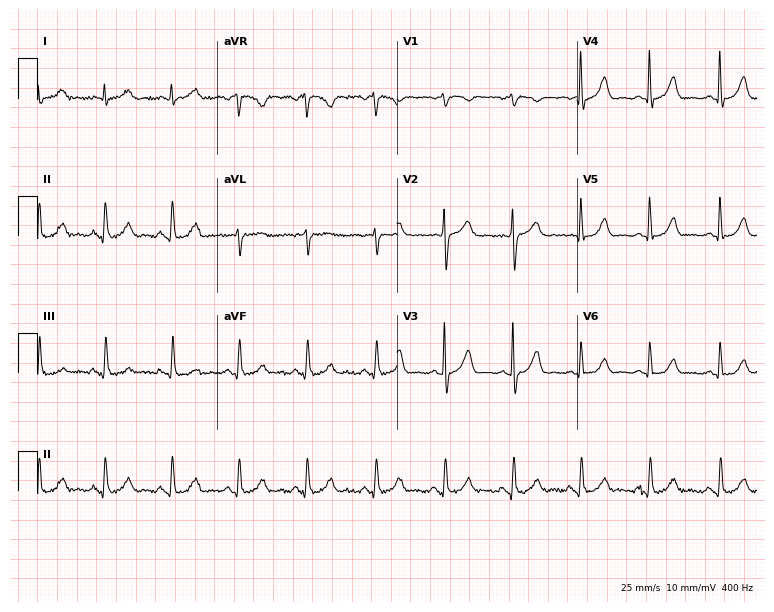
12-lead ECG (7.3-second recording at 400 Hz) from a male, 62 years old. Screened for six findings — first-degree AV block, right bundle branch block, left bundle branch block, sinus bradycardia, atrial fibrillation, sinus tachycardia — none is recorded.